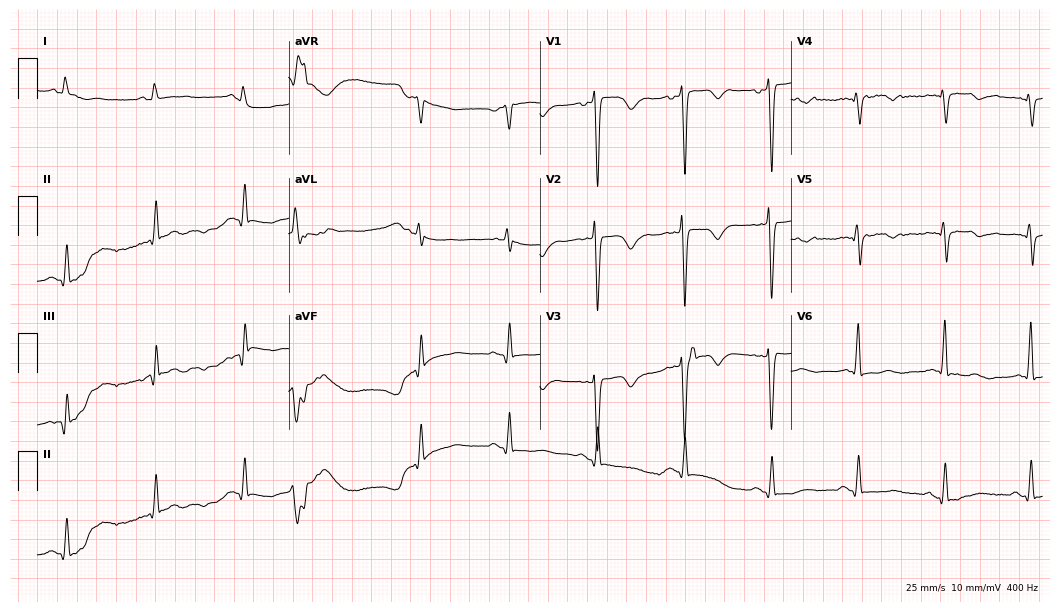
Resting 12-lead electrocardiogram (10.2-second recording at 400 Hz). Patient: an 80-year-old male. None of these six findings is recorded: first-degree AV block, right bundle branch block, left bundle branch block, sinus bradycardia, atrial fibrillation, sinus tachycardia.